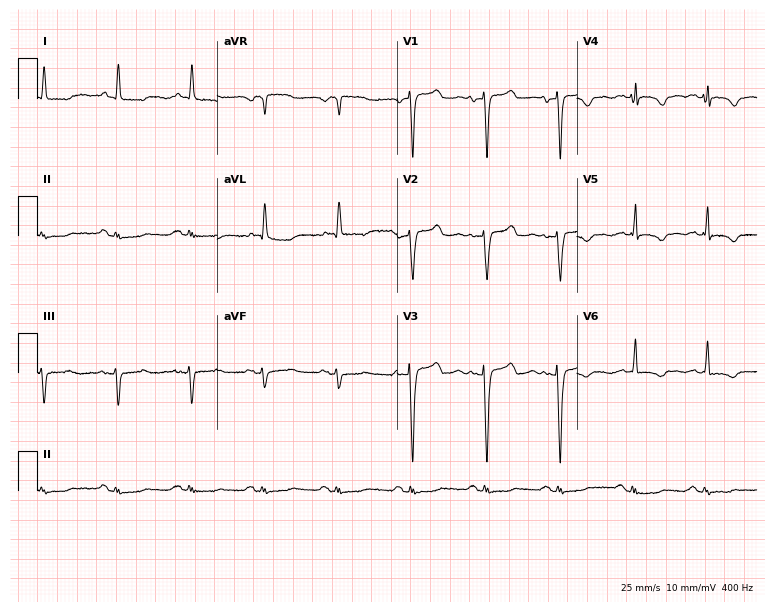
Electrocardiogram (7.3-second recording at 400 Hz), a woman, 69 years old. Overall reading on record: normal ECG.